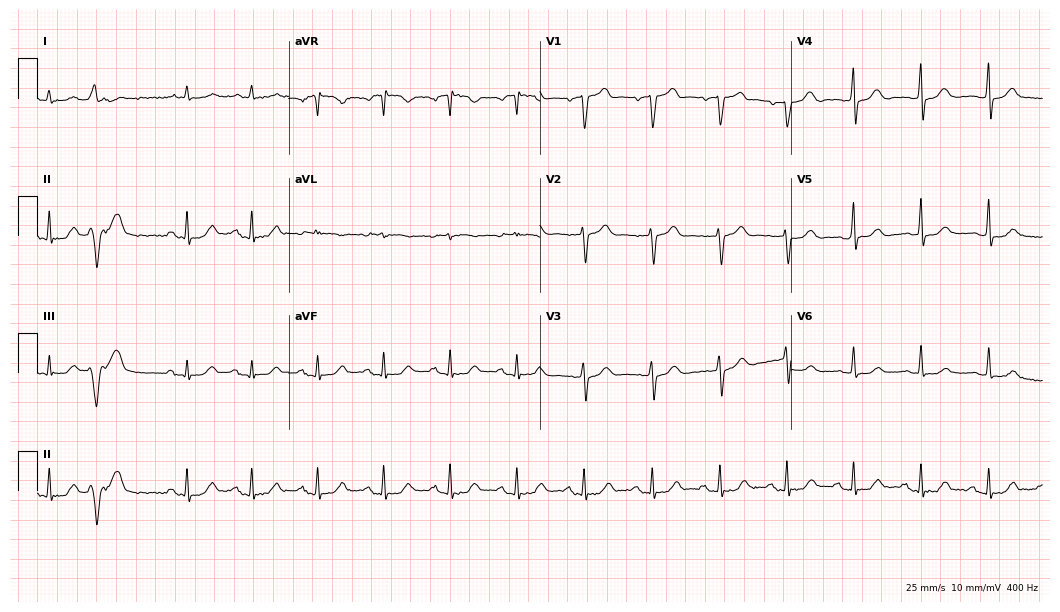
12-lead ECG from a male patient, 73 years old. No first-degree AV block, right bundle branch block, left bundle branch block, sinus bradycardia, atrial fibrillation or sinus tachycardia recorded for this tracing. Only these six findings were labelled.